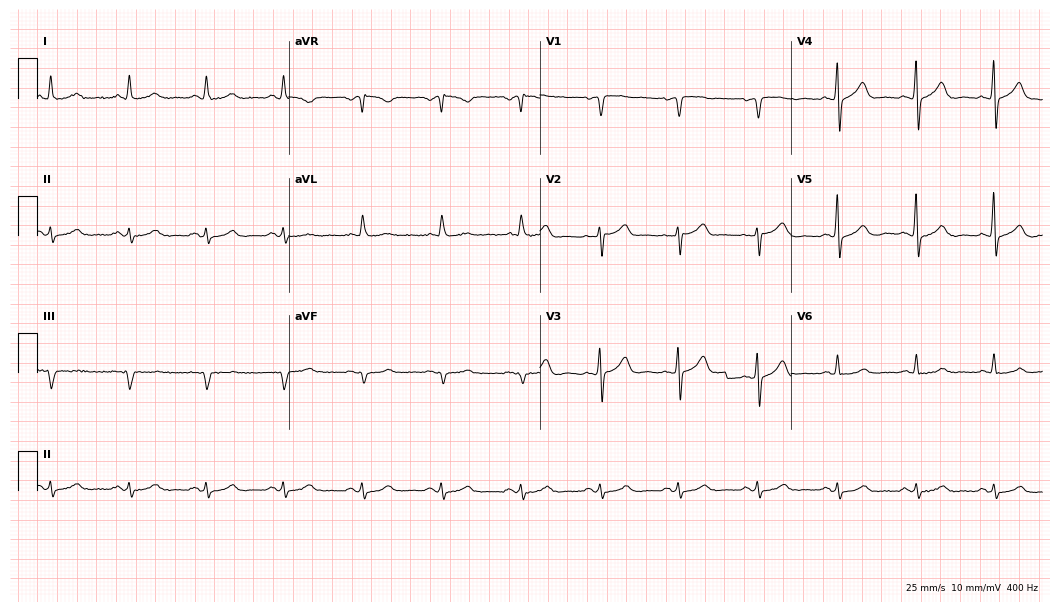
12-lead ECG (10.2-second recording at 400 Hz) from a 60-year-old female patient. Labelled as a normal ECG.